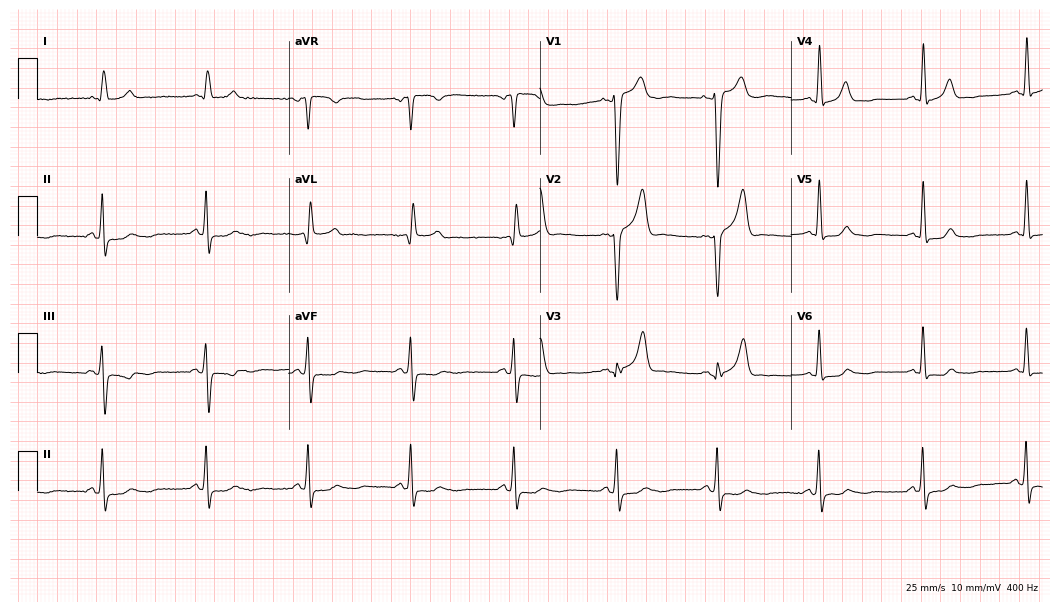
Electrocardiogram (10.2-second recording at 400 Hz), a male patient, 80 years old. Of the six screened findings (first-degree AV block, right bundle branch block (RBBB), left bundle branch block (LBBB), sinus bradycardia, atrial fibrillation (AF), sinus tachycardia), none is recorded. Only these six findings were labelled.